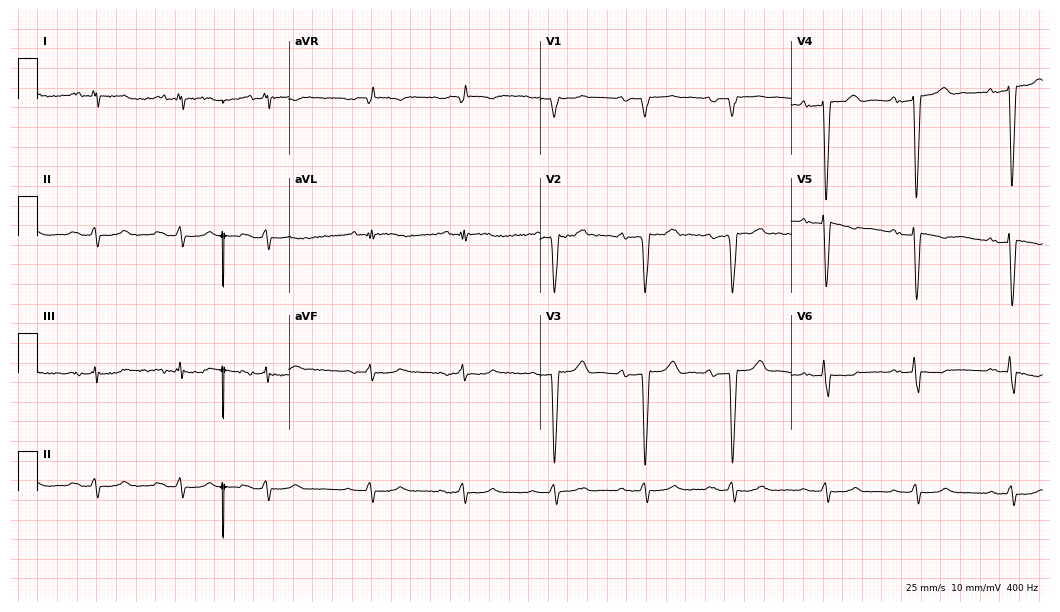
12-lead ECG from a male, 78 years old. Screened for six findings — first-degree AV block, right bundle branch block, left bundle branch block, sinus bradycardia, atrial fibrillation, sinus tachycardia — none is recorded. Only these six findings were labelled.